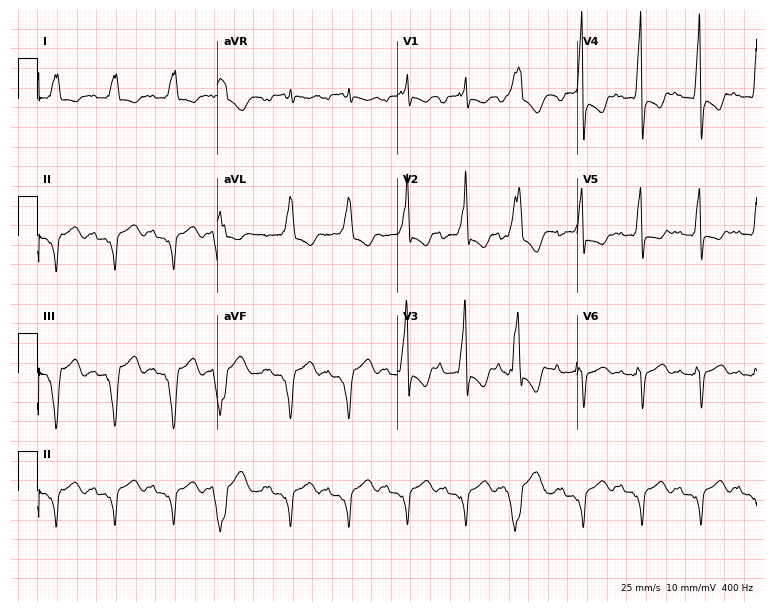
ECG — a woman, 48 years old. Findings include right bundle branch block (RBBB).